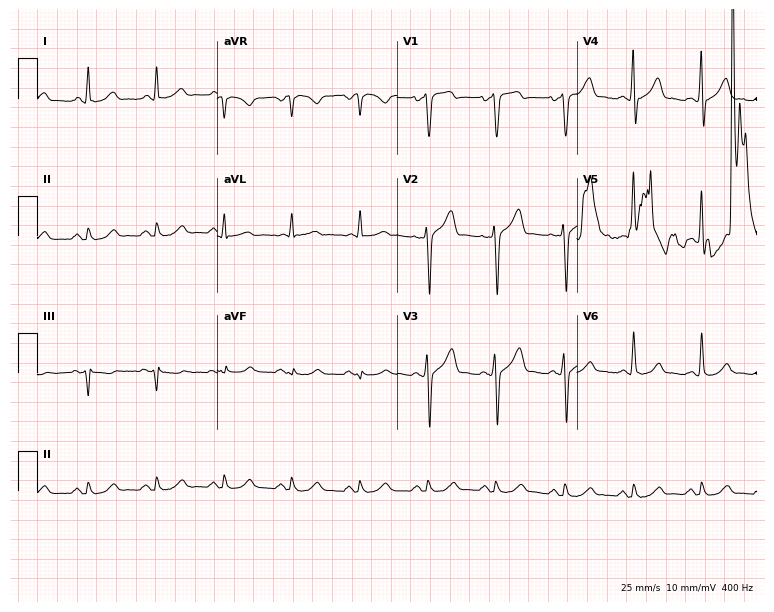
12-lead ECG from a man, 50 years old. Screened for six findings — first-degree AV block, right bundle branch block (RBBB), left bundle branch block (LBBB), sinus bradycardia, atrial fibrillation (AF), sinus tachycardia — none is recorded.